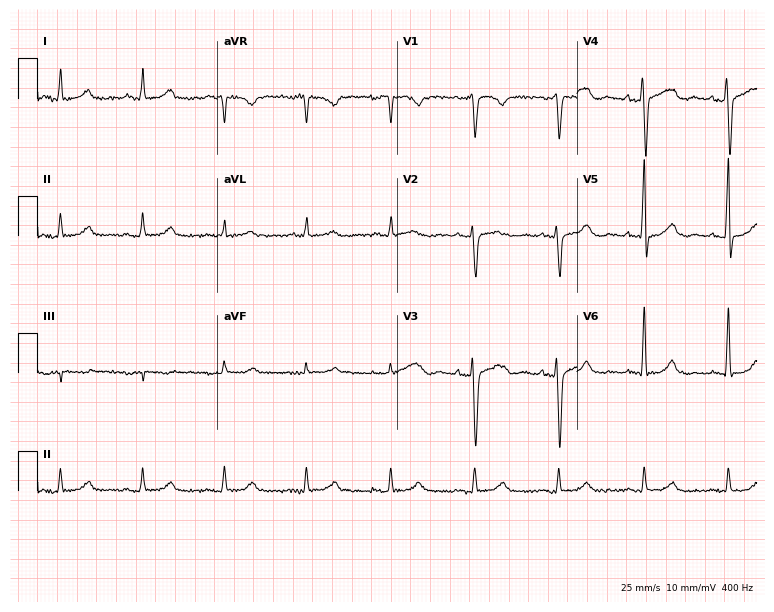
Standard 12-lead ECG recorded from a male, 56 years old. Read as a normal ECG.